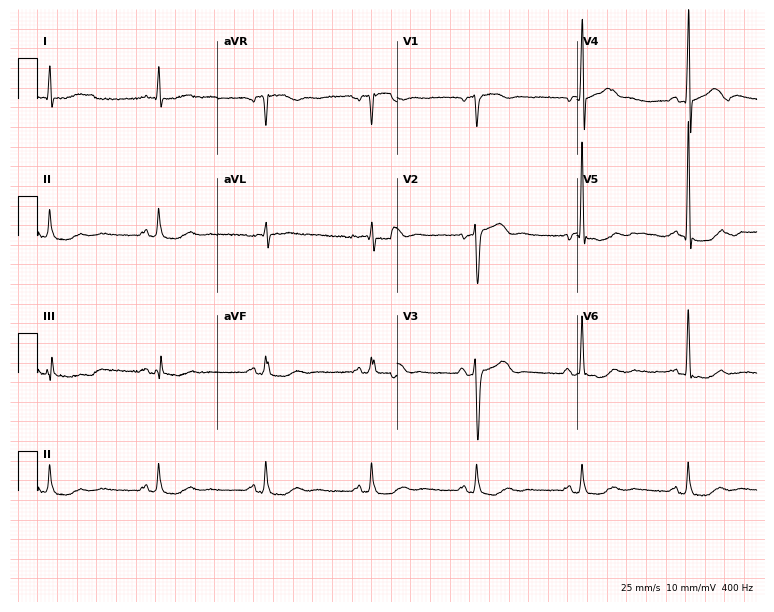
Electrocardiogram (7.3-second recording at 400 Hz), a male, 82 years old. Of the six screened findings (first-degree AV block, right bundle branch block (RBBB), left bundle branch block (LBBB), sinus bradycardia, atrial fibrillation (AF), sinus tachycardia), none is recorded. Only these six findings were labelled.